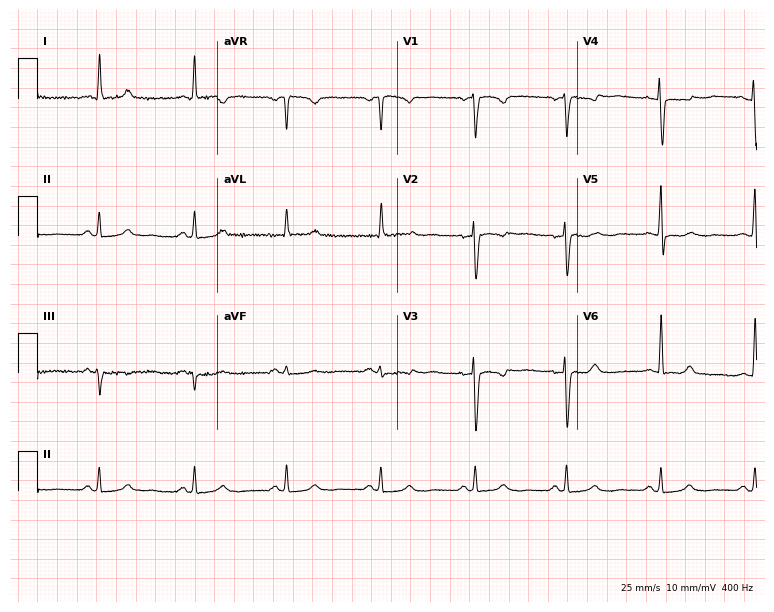
12-lead ECG from a 49-year-old female patient. Screened for six findings — first-degree AV block, right bundle branch block, left bundle branch block, sinus bradycardia, atrial fibrillation, sinus tachycardia — none is recorded. Other findings, if any, are not listed.